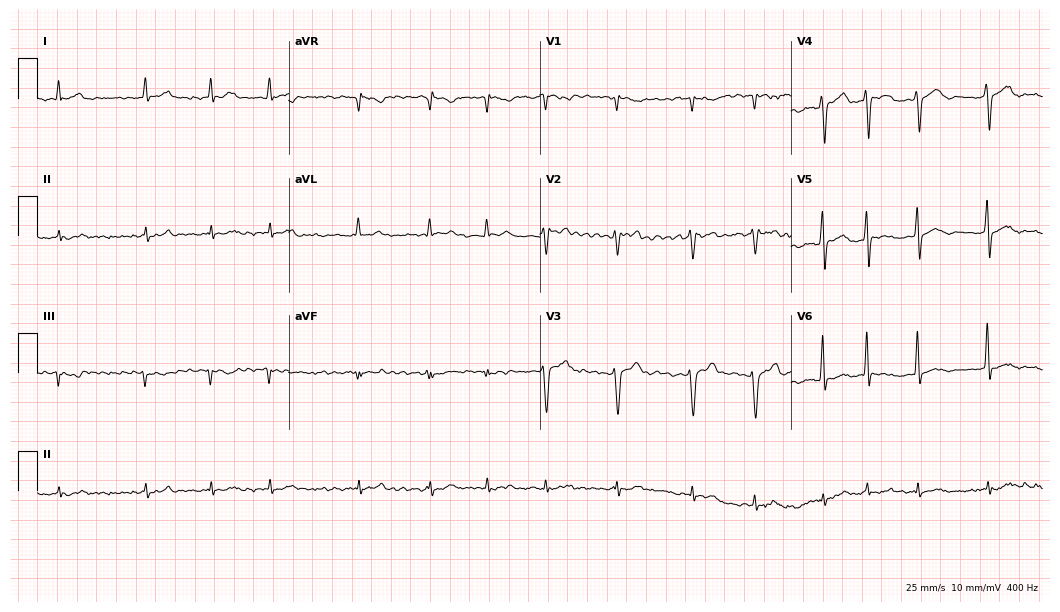
Resting 12-lead electrocardiogram. Patient: a male, 56 years old. The tracing shows atrial fibrillation.